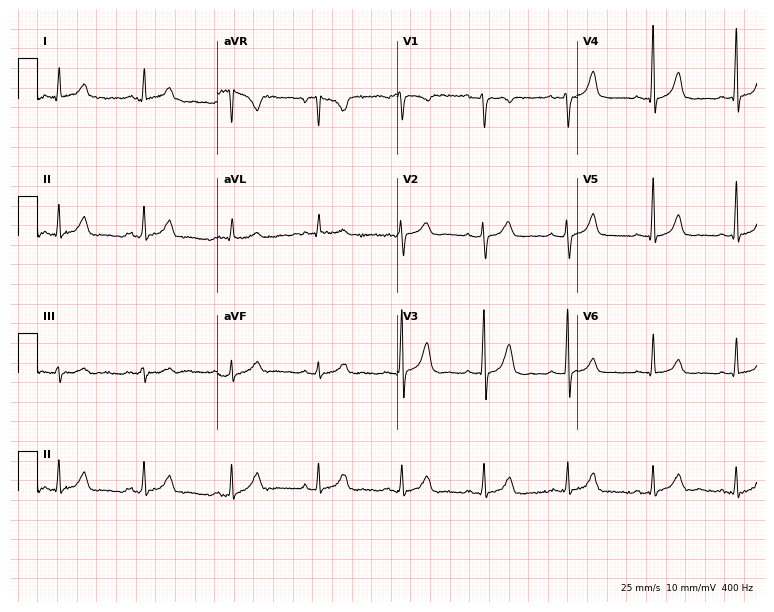
ECG — a woman, 38 years old. Labelled as a normal ECG.